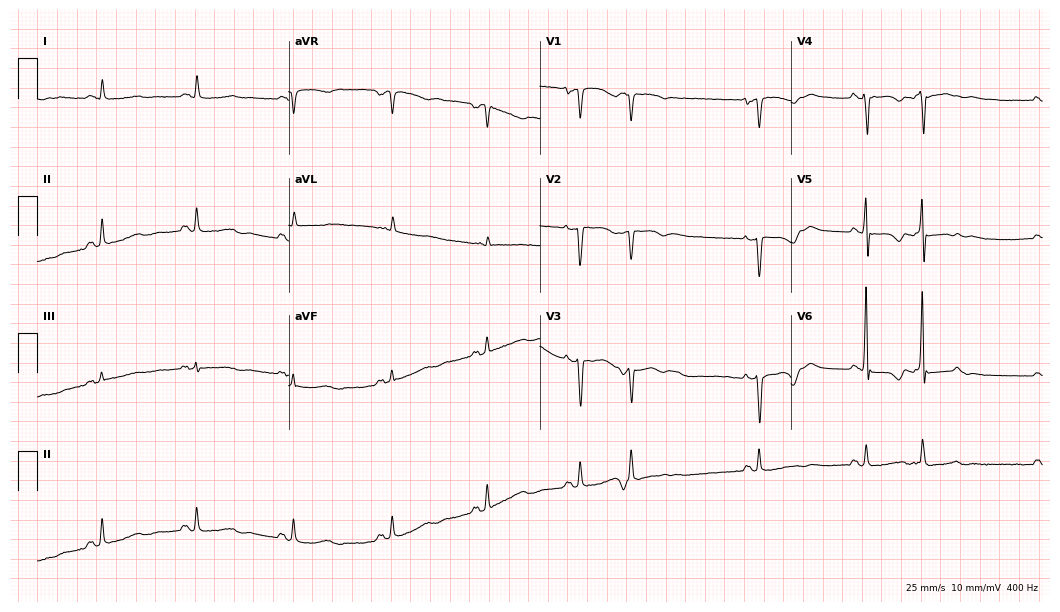
12-lead ECG from a 78-year-old woman. Screened for six findings — first-degree AV block, right bundle branch block, left bundle branch block, sinus bradycardia, atrial fibrillation, sinus tachycardia — none is recorded. Other findings, if any, are not listed.